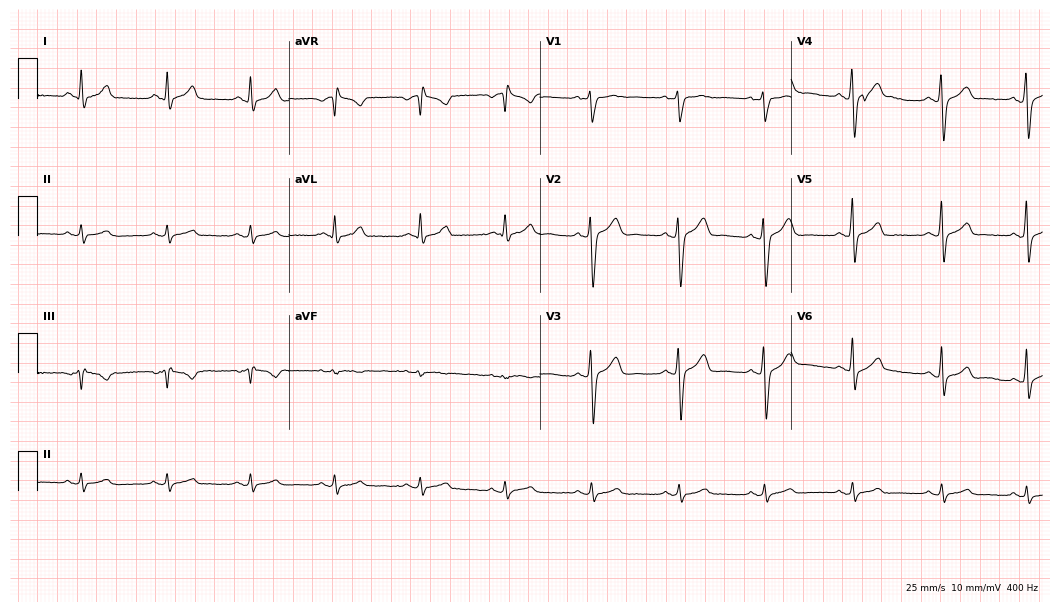
Standard 12-lead ECG recorded from a man, 26 years old (10.2-second recording at 400 Hz). Read as a normal ECG.